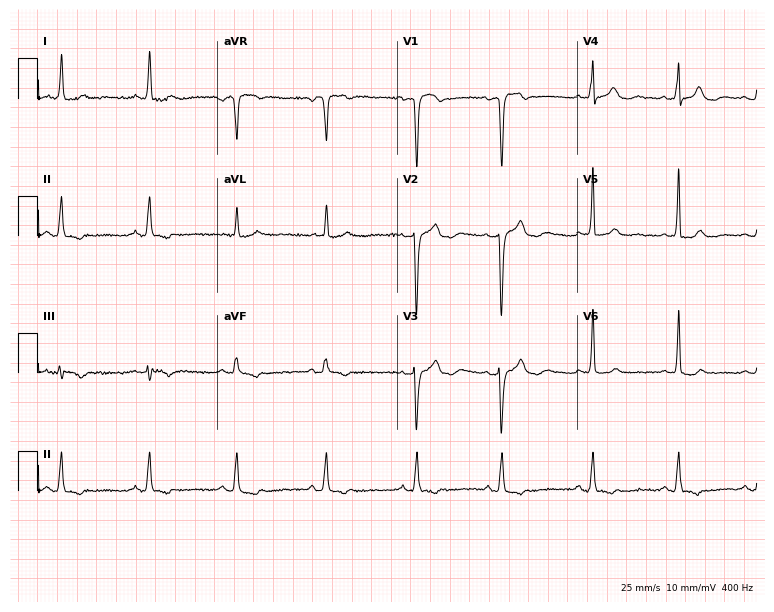
12-lead ECG from a woman, 49 years old (7.3-second recording at 400 Hz). No first-degree AV block, right bundle branch block, left bundle branch block, sinus bradycardia, atrial fibrillation or sinus tachycardia recorded for this tracing. Other findings, if any, are not listed.